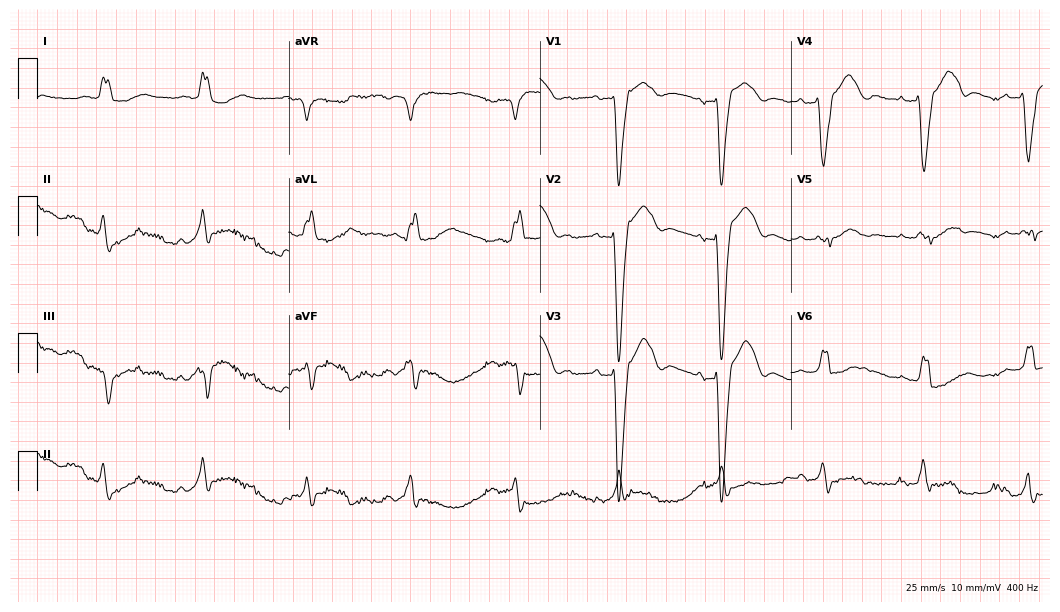
ECG — an 82-year-old female patient. Screened for six findings — first-degree AV block, right bundle branch block (RBBB), left bundle branch block (LBBB), sinus bradycardia, atrial fibrillation (AF), sinus tachycardia — none is recorded. Only these six findings were labelled.